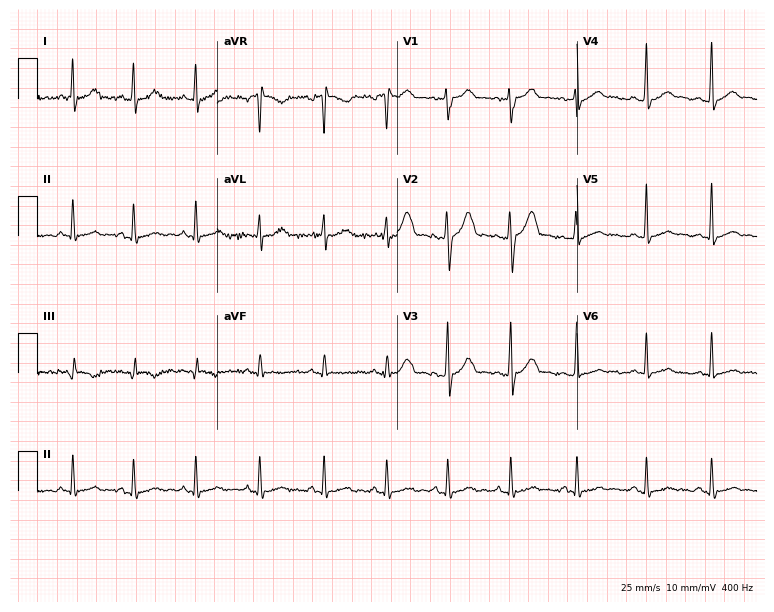
Electrocardiogram, a male patient, 33 years old. Of the six screened findings (first-degree AV block, right bundle branch block (RBBB), left bundle branch block (LBBB), sinus bradycardia, atrial fibrillation (AF), sinus tachycardia), none is recorded.